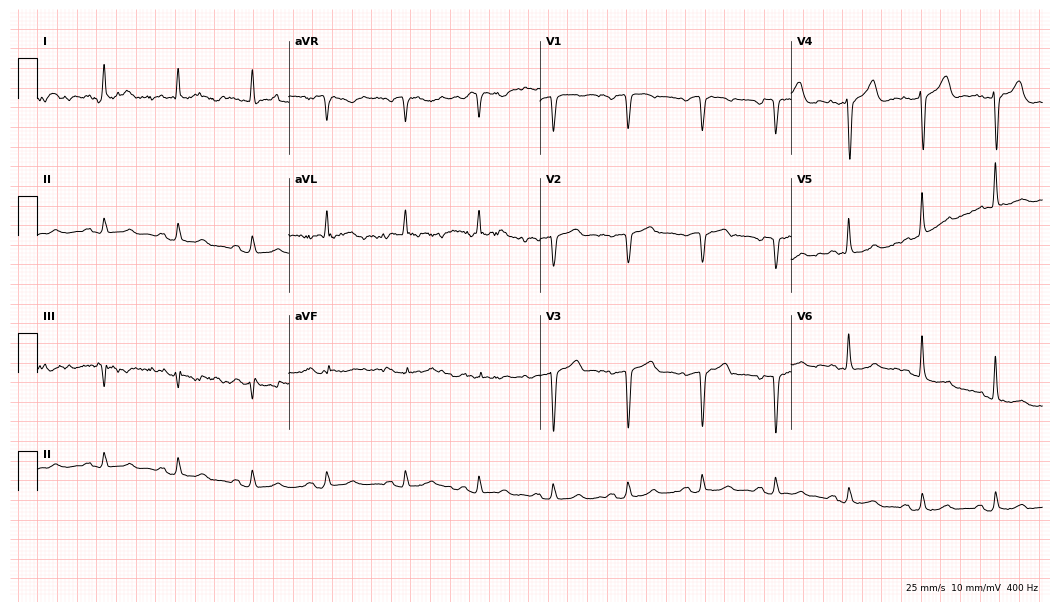
Standard 12-lead ECG recorded from a male, 65 years old. None of these six findings is recorded: first-degree AV block, right bundle branch block (RBBB), left bundle branch block (LBBB), sinus bradycardia, atrial fibrillation (AF), sinus tachycardia.